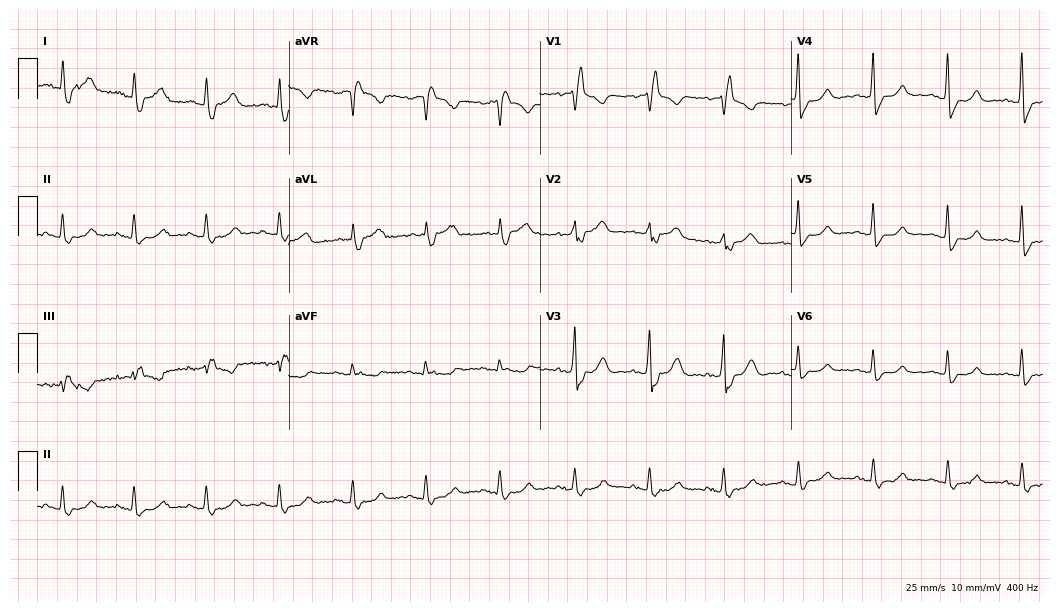
12-lead ECG from a woman, 82 years old. Screened for six findings — first-degree AV block, right bundle branch block (RBBB), left bundle branch block (LBBB), sinus bradycardia, atrial fibrillation (AF), sinus tachycardia — none is recorded. Only these six findings were labelled.